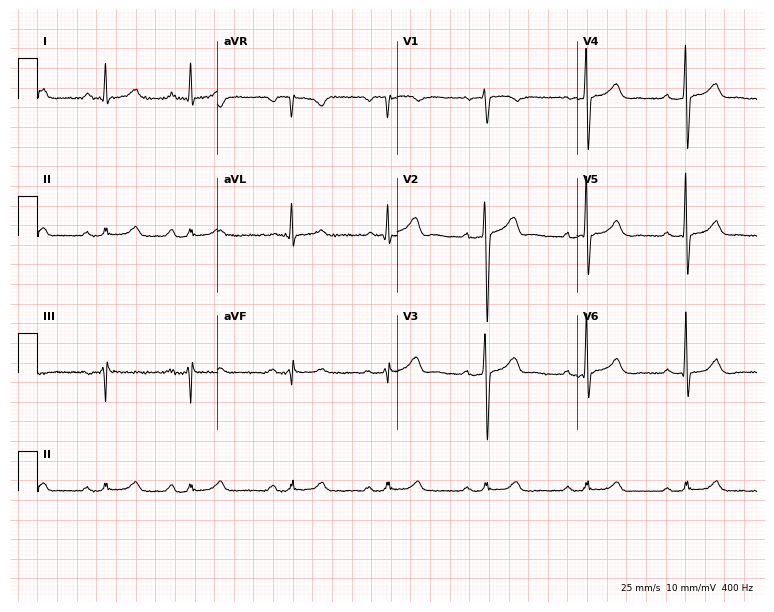
ECG (7.3-second recording at 400 Hz) — a male, 45 years old. Labelled as a normal ECG.